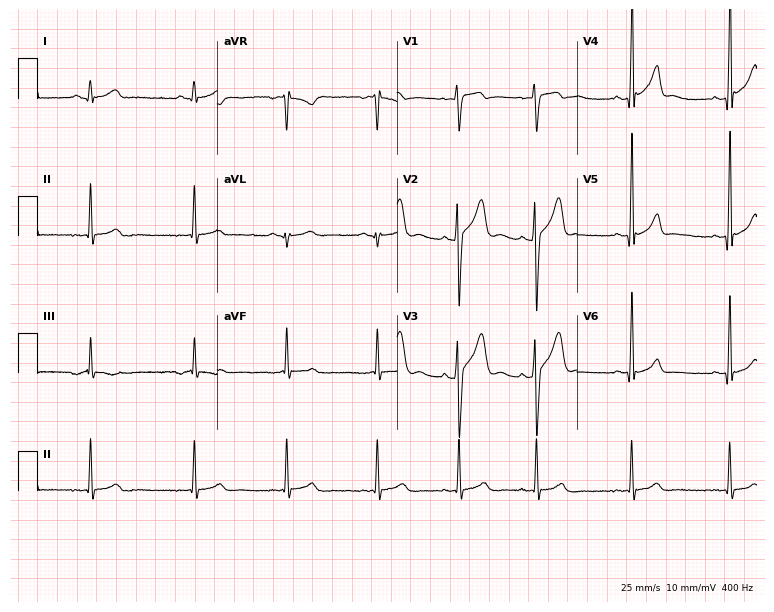
Resting 12-lead electrocardiogram (7.3-second recording at 400 Hz). Patient: a 24-year-old male. Read as a normal ECG.